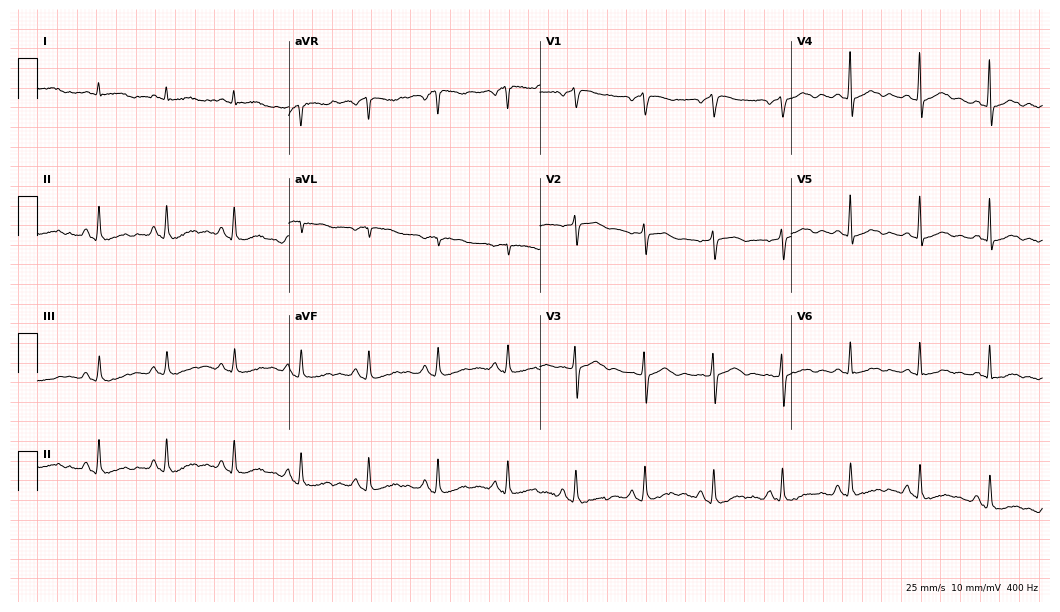
Electrocardiogram (10.2-second recording at 400 Hz), a 73-year-old woman. Of the six screened findings (first-degree AV block, right bundle branch block, left bundle branch block, sinus bradycardia, atrial fibrillation, sinus tachycardia), none is recorded. Only these six findings were labelled.